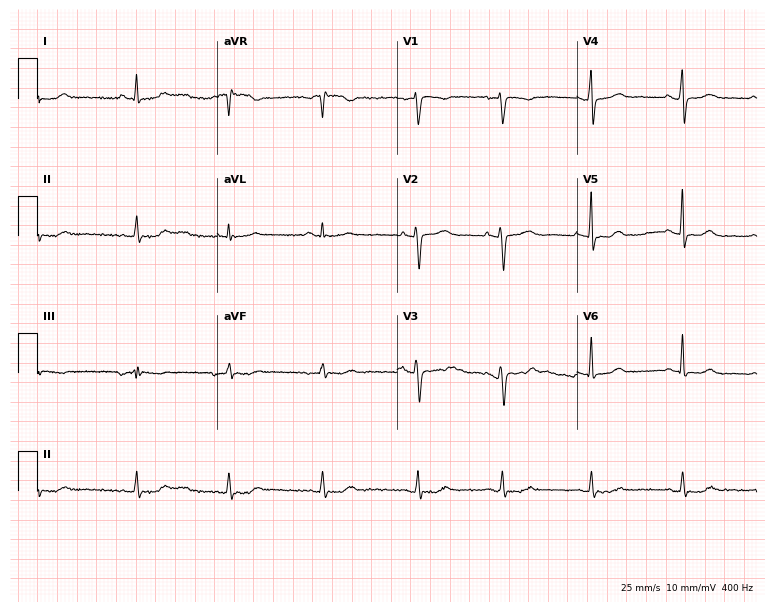
12-lead ECG (7.3-second recording at 400 Hz) from a female, 41 years old. Screened for six findings — first-degree AV block, right bundle branch block, left bundle branch block, sinus bradycardia, atrial fibrillation, sinus tachycardia — none is recorded. Only these six findings were labelled.